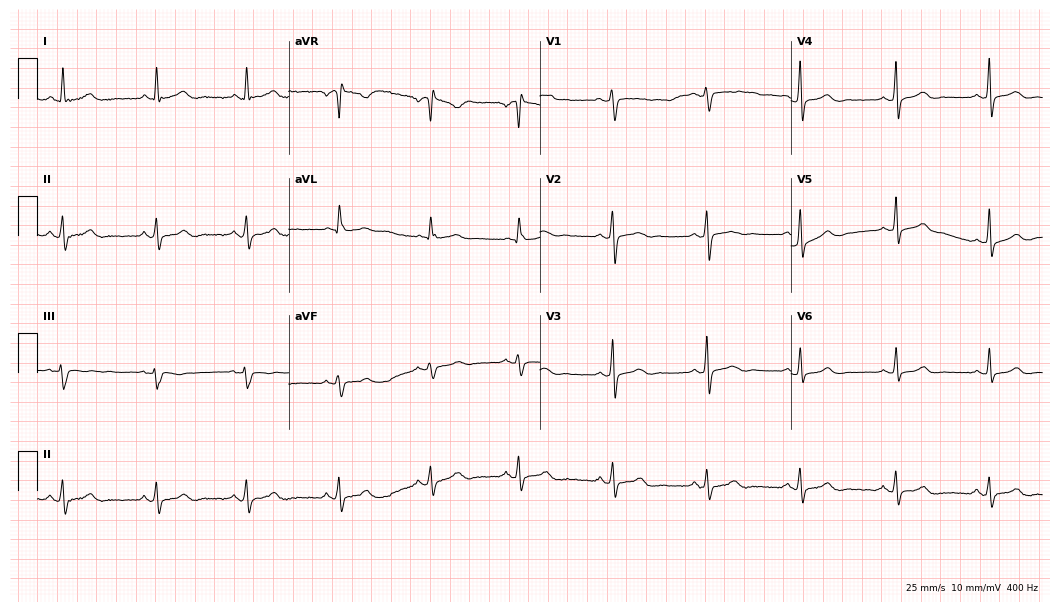
12-lead ECG (10.2-second recording at 400 Hz) from a female, 32 years old. Labelled as a normal ECG.